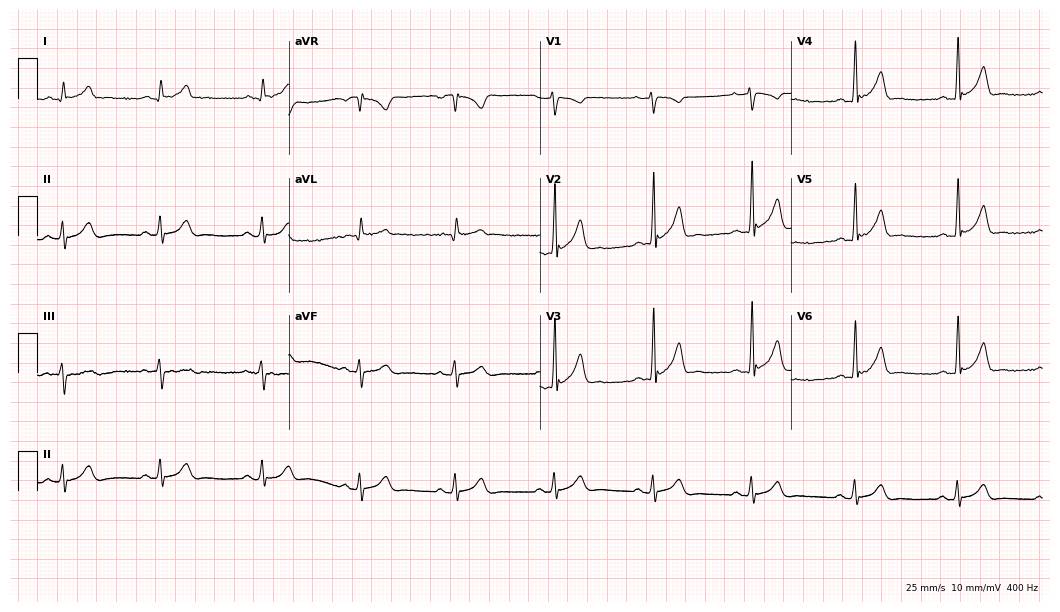
Electrocardiogram (10.2-second recording at 400 Hz), a 33-year-old man. Of the six screened findings (first-degree AV block, right bundle branch block, left bundle branch block, sinus bradycardia, atrial fibrillation, sinus tachycardia), none is recorded.